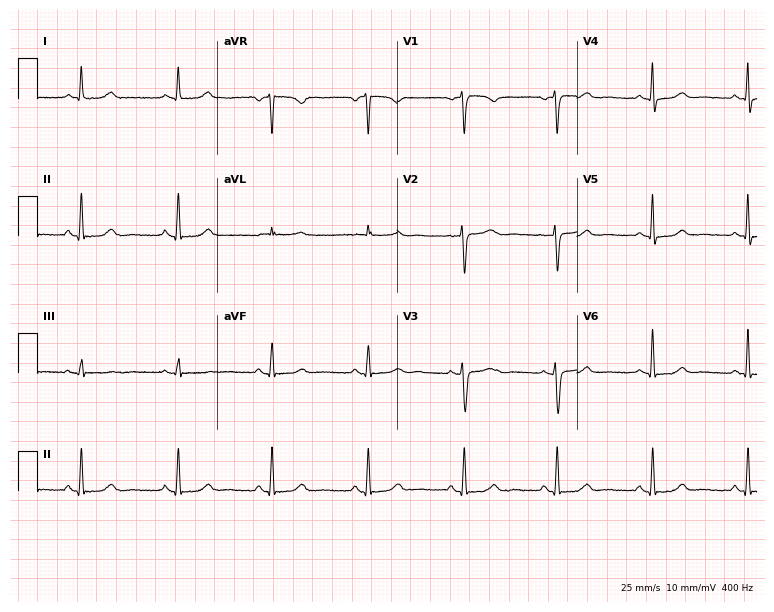
12-lead ECG from a 57-year-old female patient. Recorded interpretation: within normal limits.